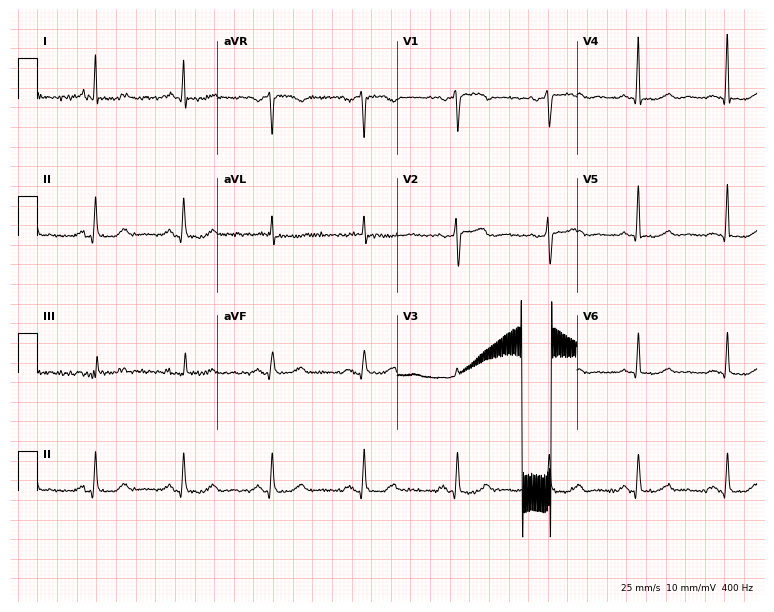
Standard 12-lead ECG recorded from a 62-year-old female (7.3-second recording at 400 Hz). None of these six findings is recorded: first-degree AV block, right bundle branch block (RBBB), left bundle branch block (LBBB), sinus bradycardia, atrial fibrillation (AF), sinus tachycardia. Other findings, if any, are not listed.